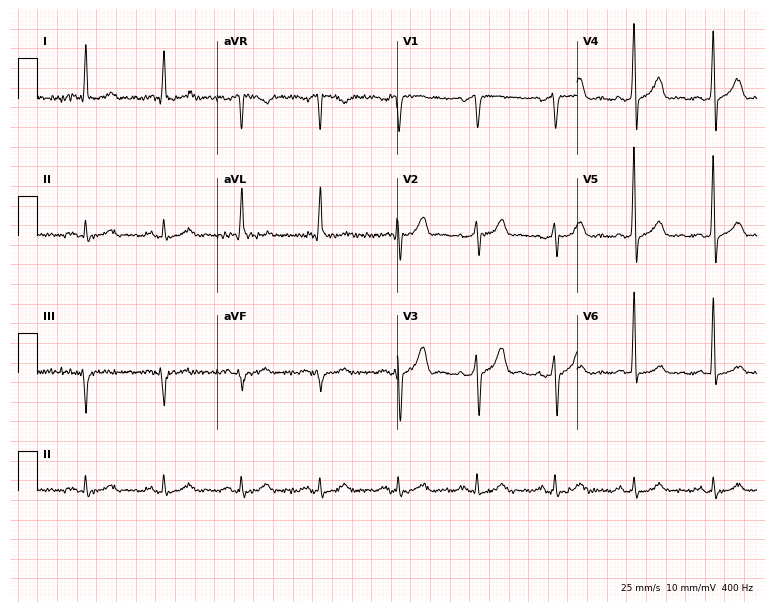
12-lead ECG from a 66-year-old man. Labelled as a normal ECG.